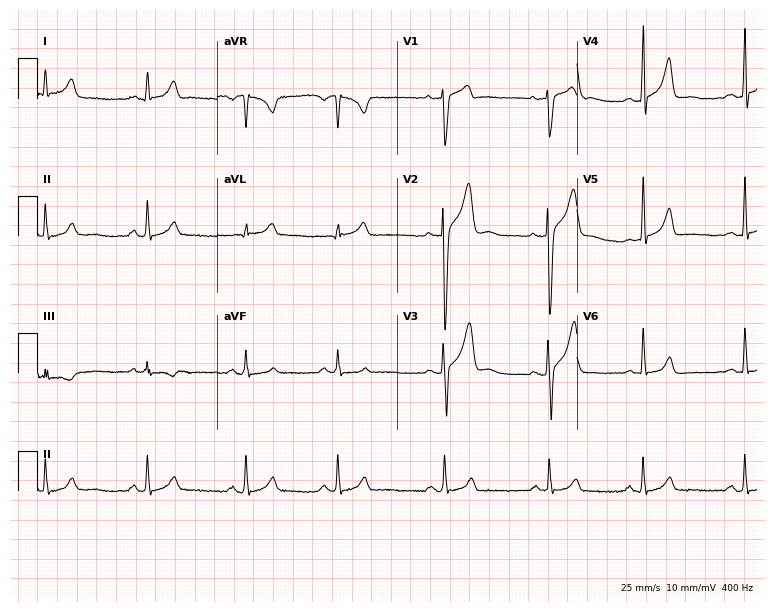
12-lead ECG (7.3-second recording at 400 Hz) from a male patient, 20 years old. Screened for six findings — first-degree AV block, right bundle branch block (RBBB), left bundle branch block (LBBB), sinus bradycardia, atrial fibrillation (AF), sinus tachycardia — none is recorded.